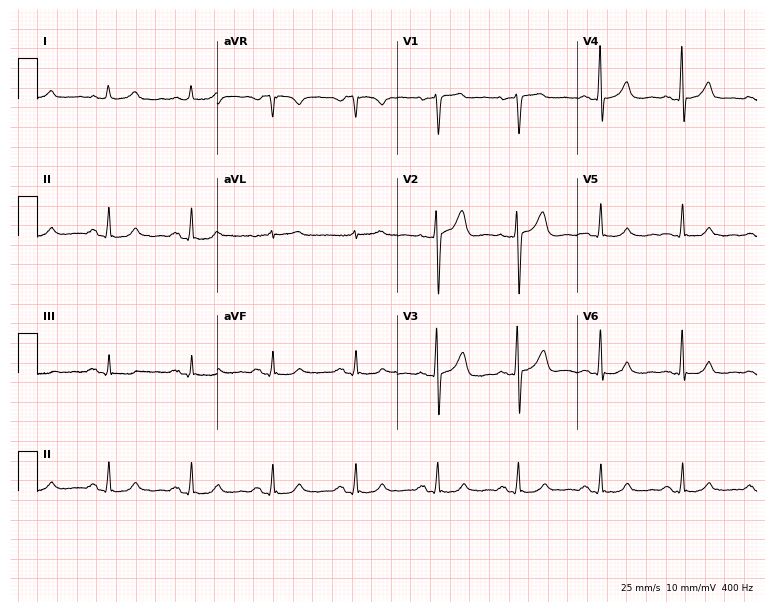
Electrocardiogram (7.3-second recording at 400 Hz), a male, 68 years old. Overall reading on record: normal ECG.